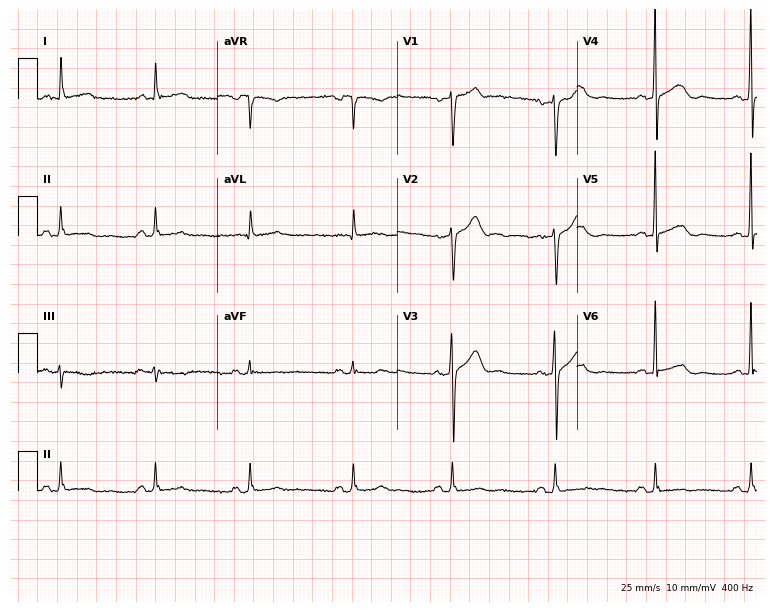
ECG — a male, 41 years old. Screened for six findings — first-degree AV block, right bundle branch block, left bundle branch block, sinus bradycardia, atrial fibrillation, sinus tachycardia — none is recorded.